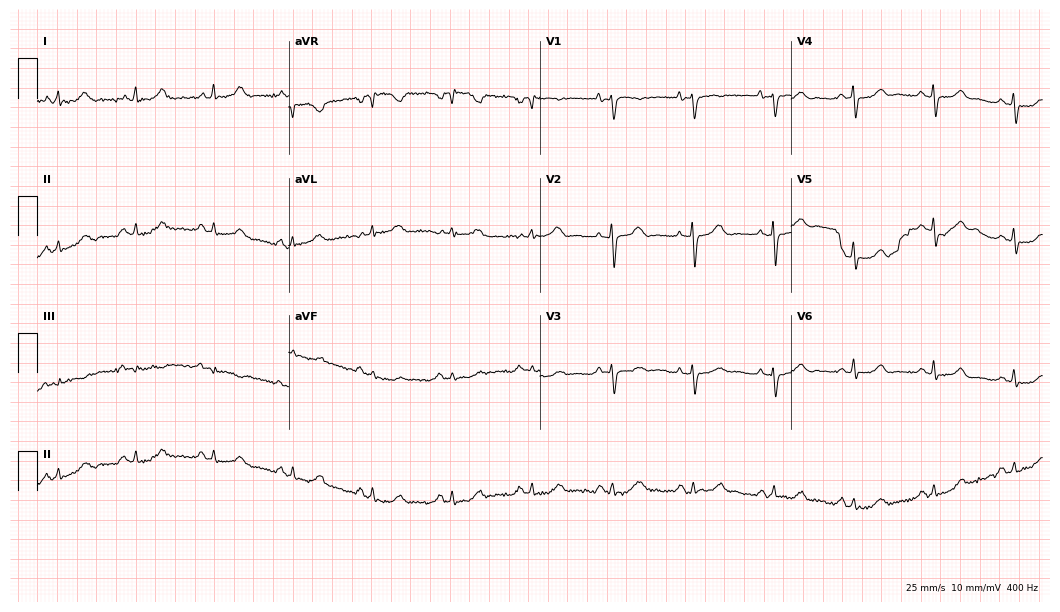
Electrocardiogram (10.2-second recording at 400 Hz), a female, 71 years old. Overall reading on record: normal ECG.